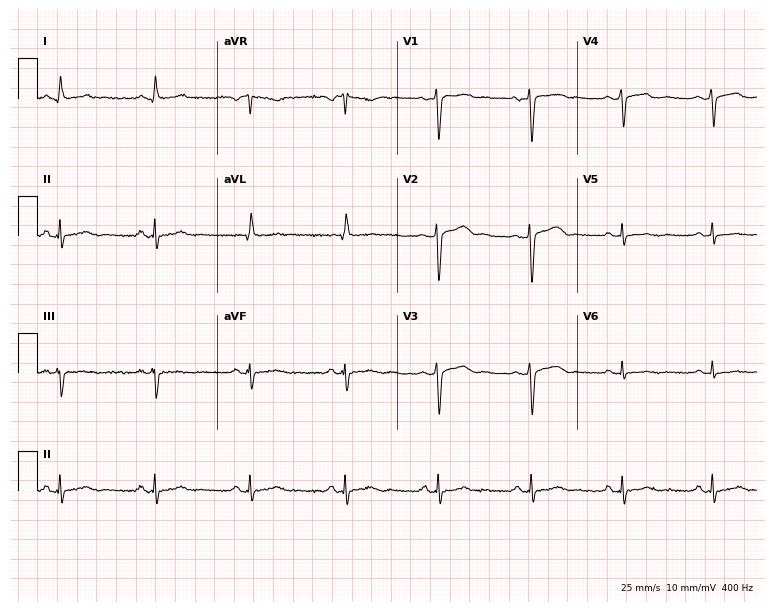
12-lead ECG from a female, 40 years old. Screened for six findings — first-degree AV block, right bundle branch block, left bundle branch block, sinus bradycardia, atrial fibrillation, sinus tachycardia — none is recorded.